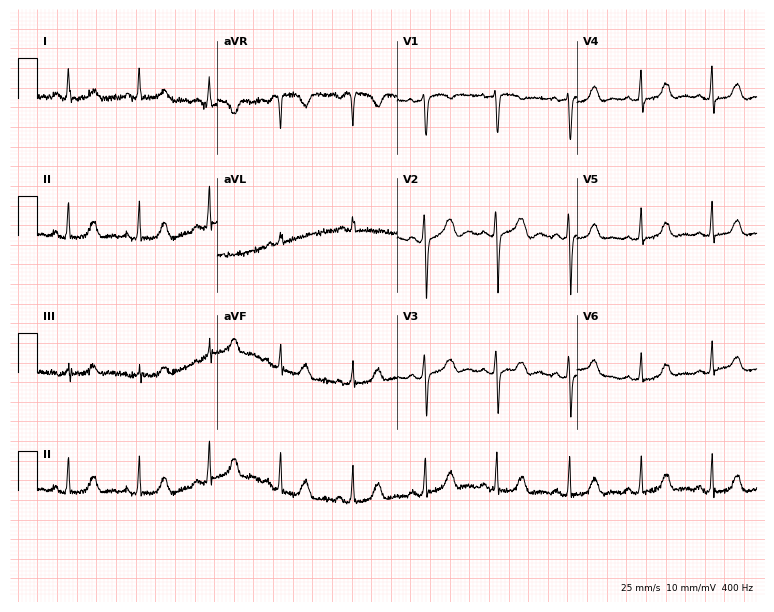
Resting 12-lead electrocardiogram. Patient: a 50-year-old female. Read as a normal ECG.